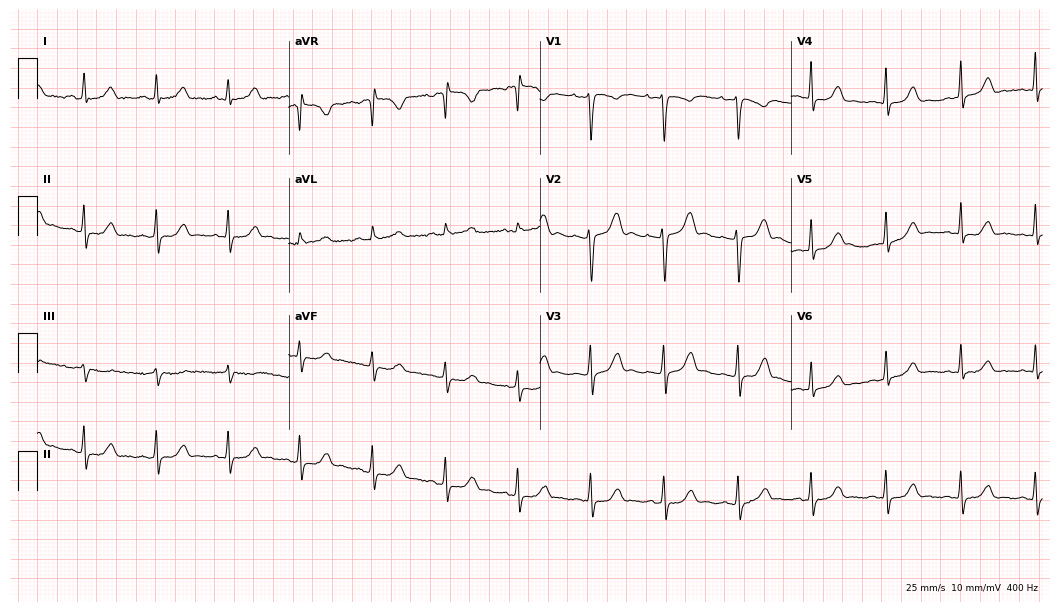
Resting 12-lead electrocardiogram (10.2-second recording at 400 Hz). Patient: a female, 35 years old. Read as a normal ECG.